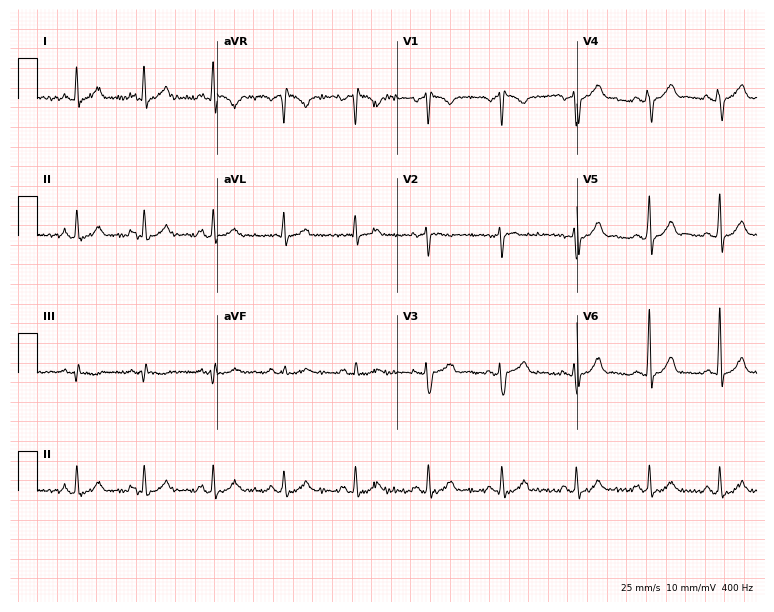
Electrocardiogram, a man, 46 years old. Overall reading on record: normal ECG.